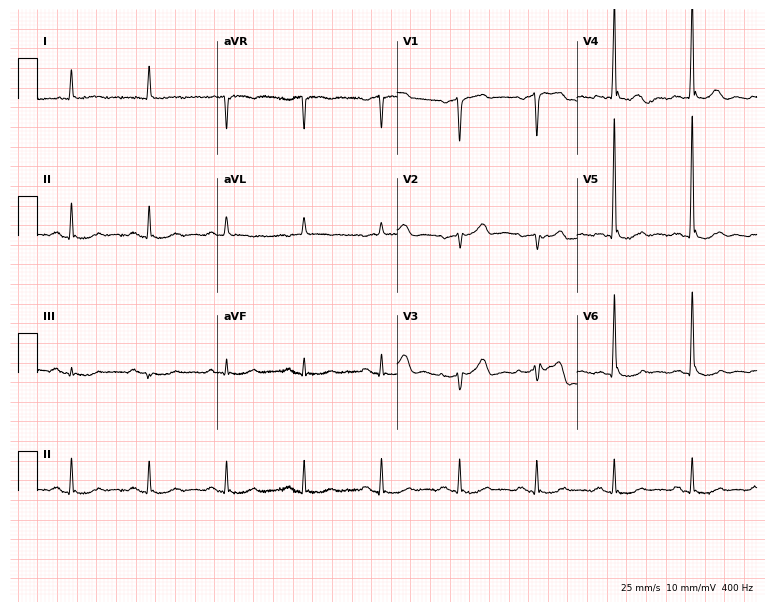
12-lead ECG from an 85-year-old male patient (7.3-second recording at 400 Hz). No first-degree AV block, right bundle branch block, left bundle branch block, sinus bradycardia, atrial fibrillation or sinus tachycardia recorded for this tracing.